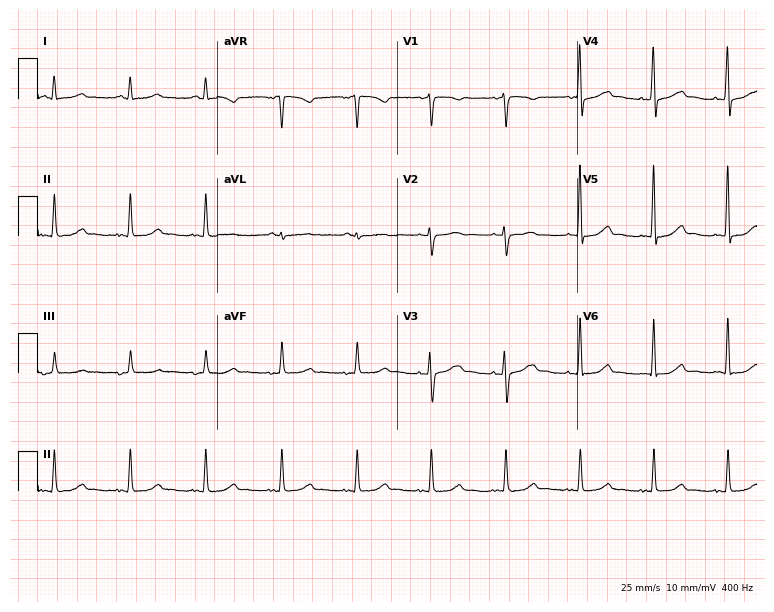
Standard 12-lead ECG recorded from a female, 49 years old. Read as a normal ECG.